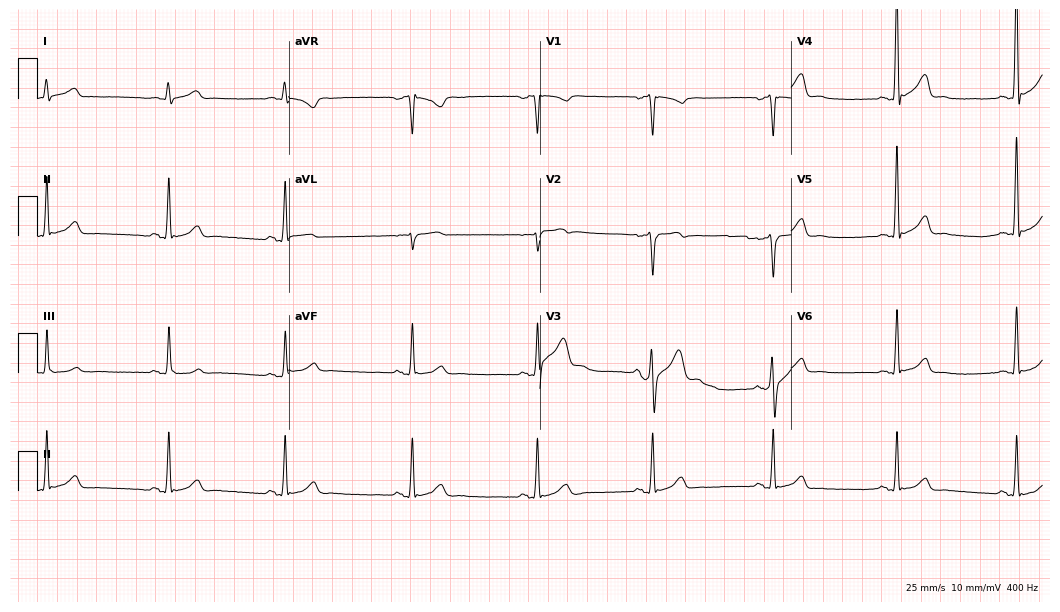
Electrocardiogram, a man, 32 years old. Overall reading on record: normal ECG.